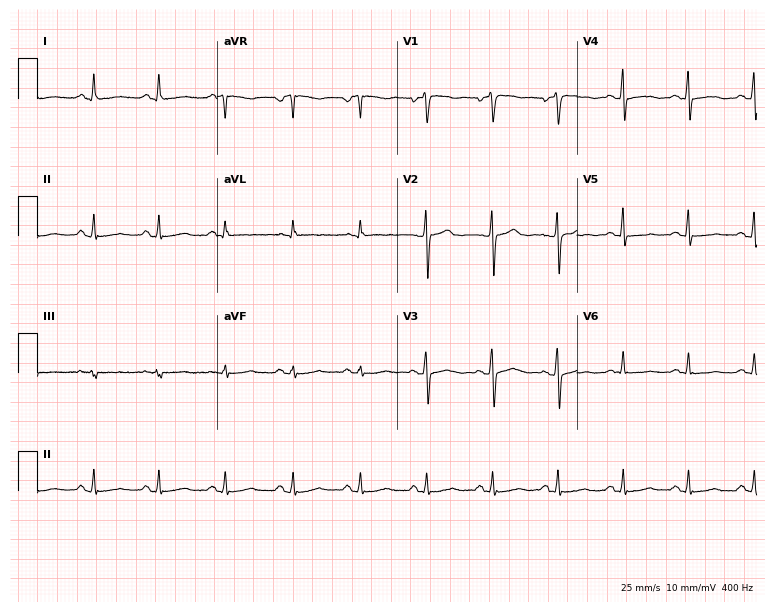
ECG (7.3-second recording at 400 Hz) — a female, 52 years old. Screened for six findings — first-degree AV block, right bundle branch block, left bundle branch block, sinus bradycardia, atrial fibrillation, sinus tachycardia — none is recorded. Only these six findings were labelled.